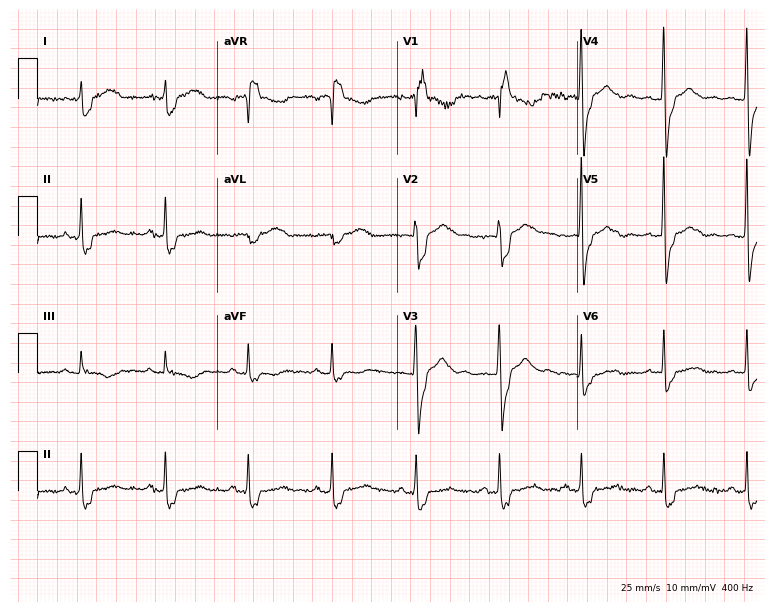
12-lead ECG from a woman, 47 years old (7.3-second recording at 400 Hz). Shows right bundle branch block.